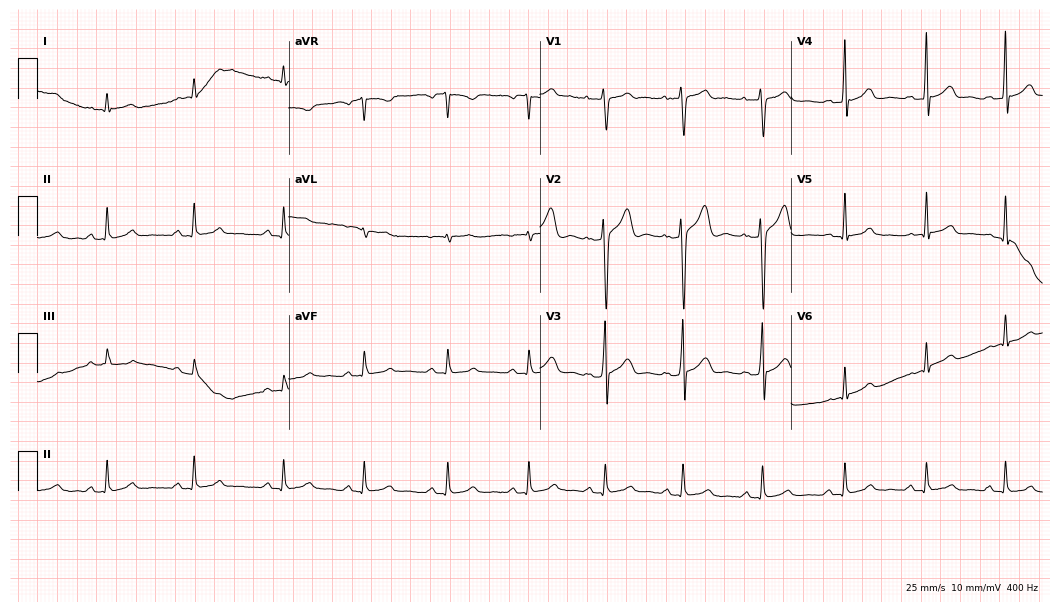
Electrocardiogram (10.2-second recording at 400 Hz), a male, 24 years old. Overall reading on record: normal ECG.